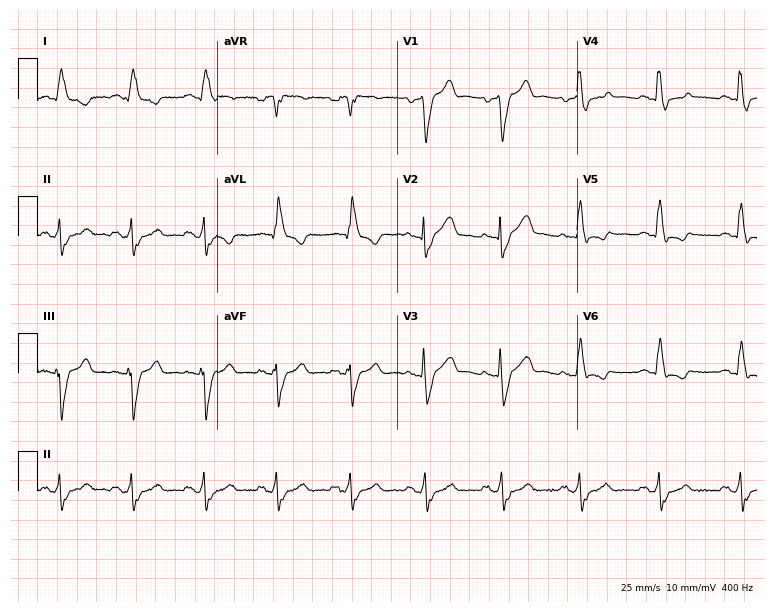
Resting 12-lead electrocardiogram (7.3-second recording at 400 Hz). Patient: a 64-year-old male. The tracing shows left bundle branch block.